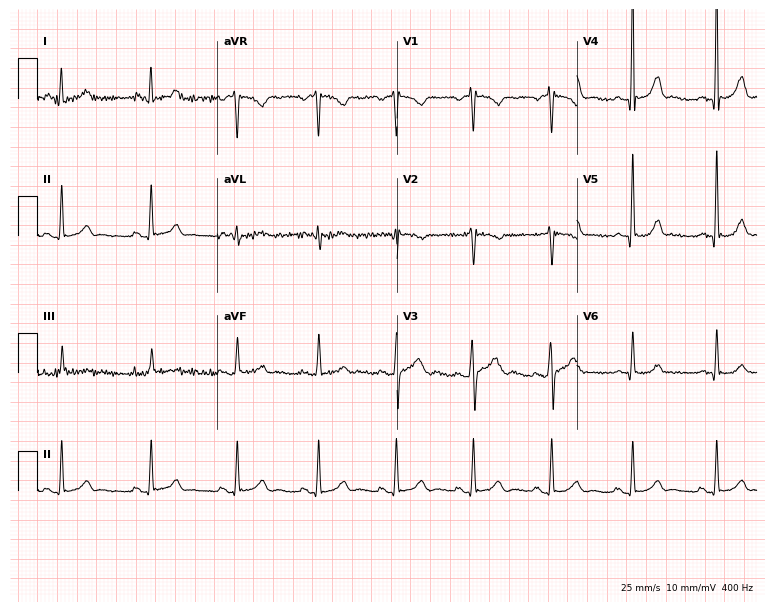
Electrocardiogram, a 37-year-old woman. Overall reading on record: normal ECG.